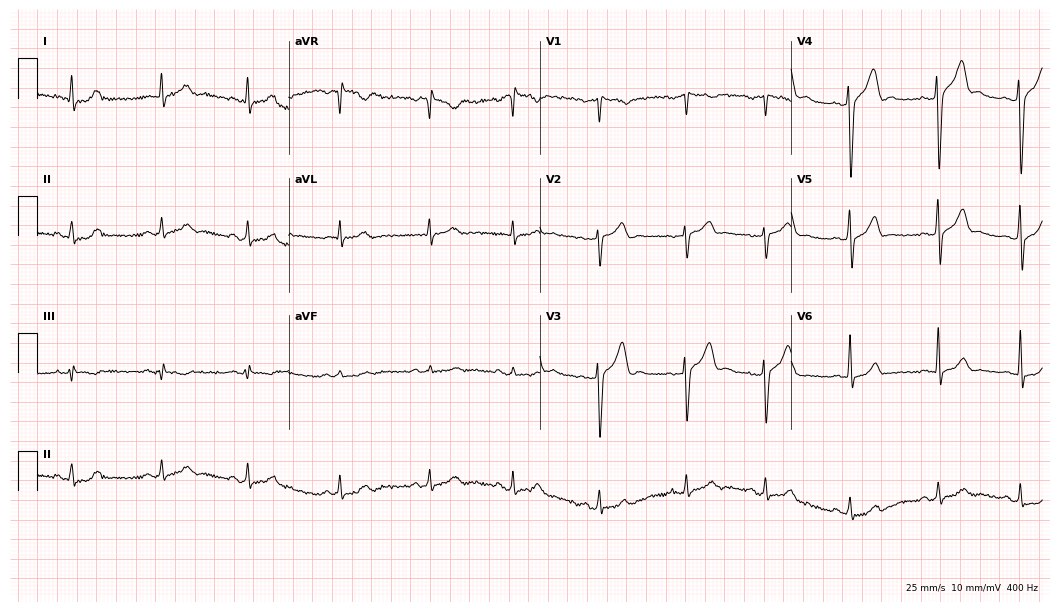
Electrocardiogram (10.2-second recording at 400 Hz), a male patient, 29 years old. Overall reading on record: normal ECG.